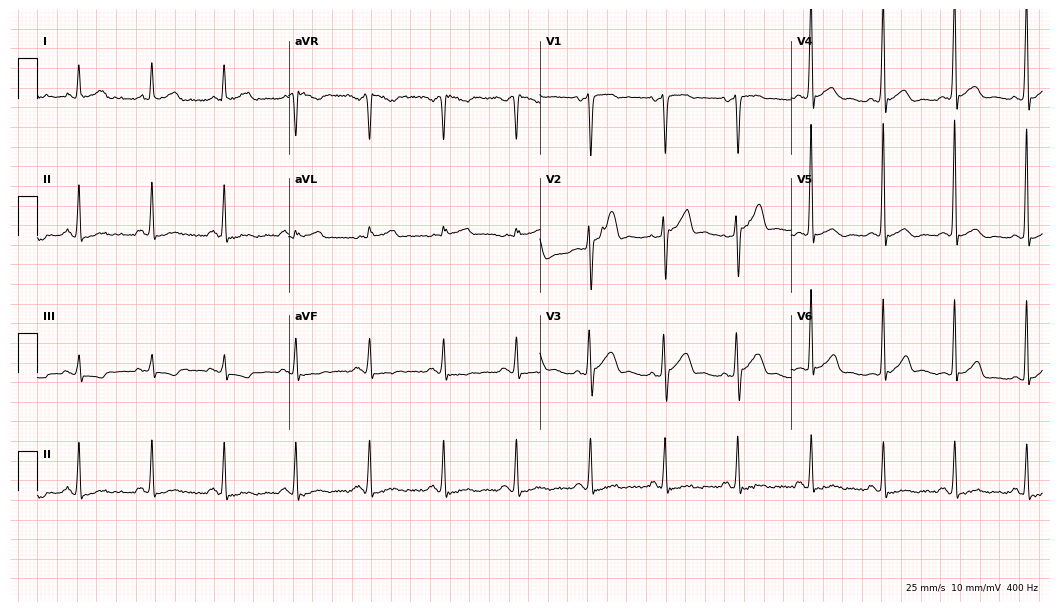
ECG (10.2-second recording at 400 Hz) — a 58-year-old man. Screened for six findings — first-degree AV block, right bundle branch block (RBBB), left bundle branch block (LBBB), sinus bradycardia, atrial fibrillation (AF), sinus tachycardia — none is recorded. Other findings, if any, are not listed.